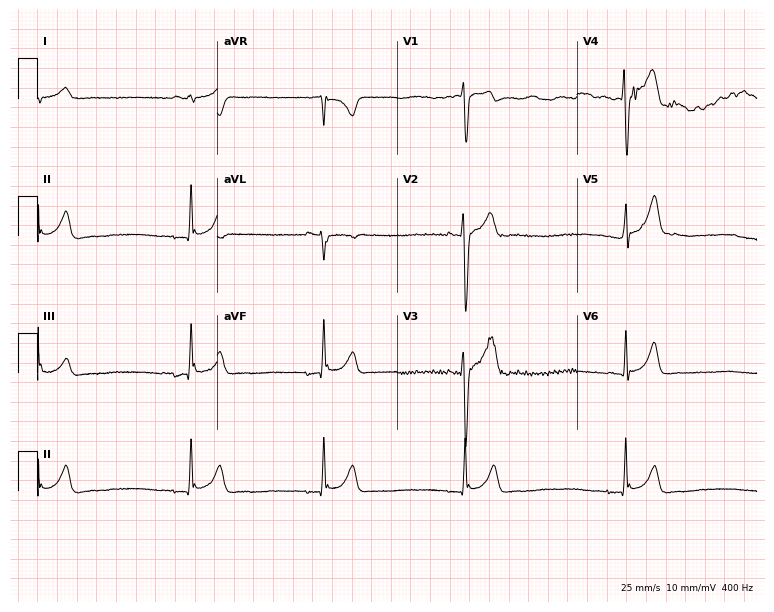
12-lead ECG from a male patient, 17 years old (7.3-second recording at 400 Hz). Shows sinus bradycardia (a sinus rate of 50 beats per minute or less).